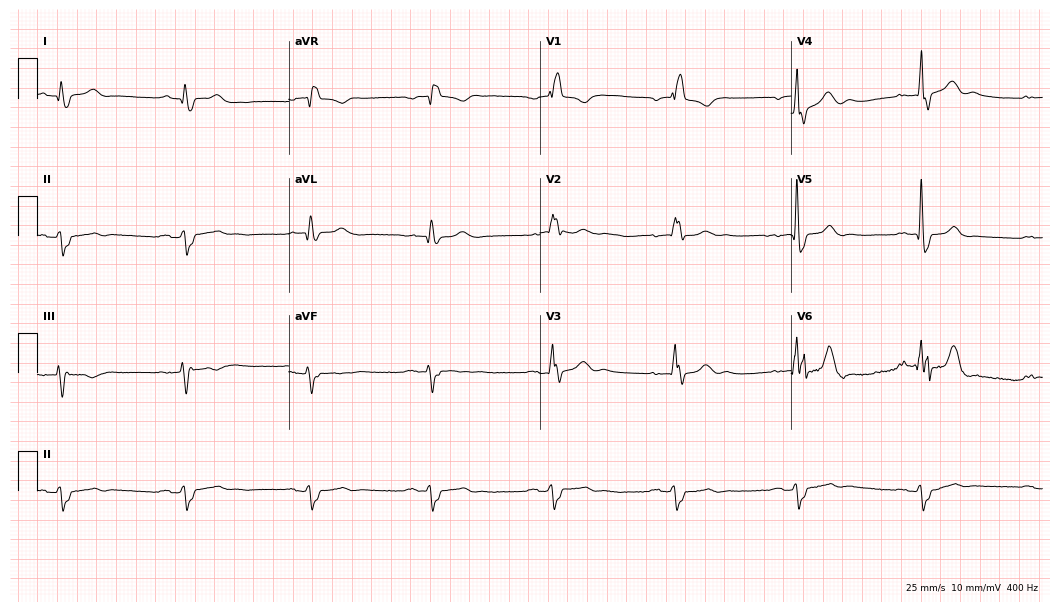
Electrocardiogram (10.2-second recording at 400 Hz), a man, 67 years old. Interpretation includes right bundle branch block, sinus bradycardia (a sinus rate of 50 beats per minute or less).